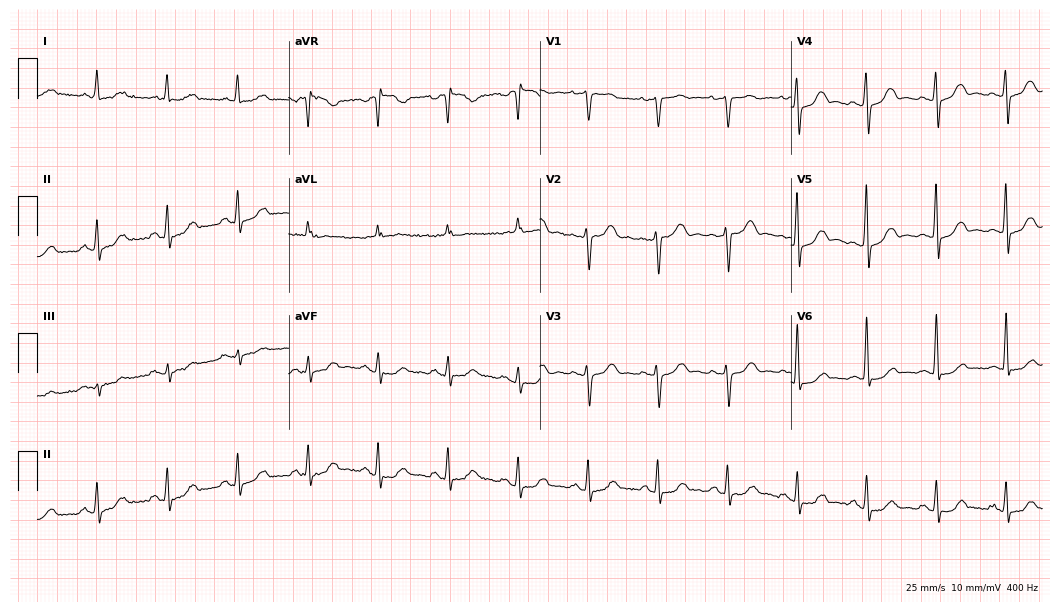
Resting 12-lead electrocardiogram. Patient: a 63-year-old female. None of these six findings is recorded: first-degree AV block, right bundle branch block, left bundle branch block, sinus bradycardia, atrial fibrillation, sinus tachycardia.